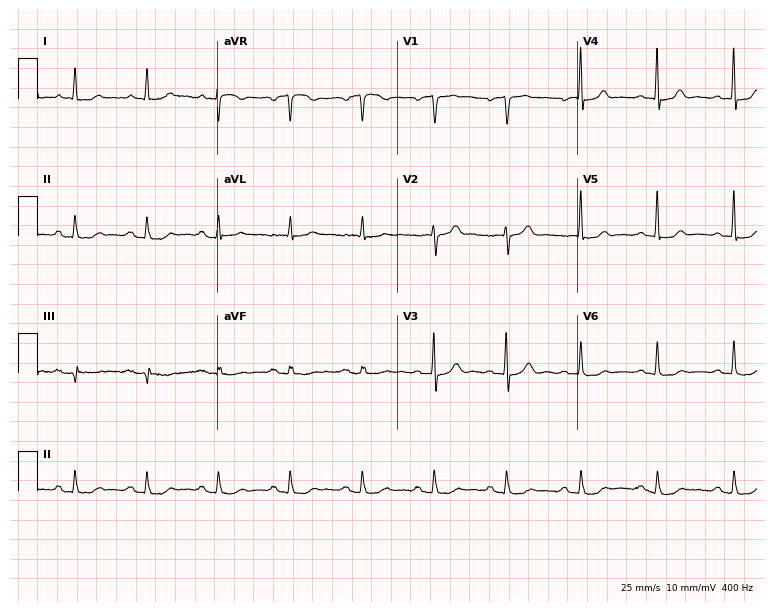
Electrocardiogram, a 76-year-old male patient. Overall reading on record: normal ECG.